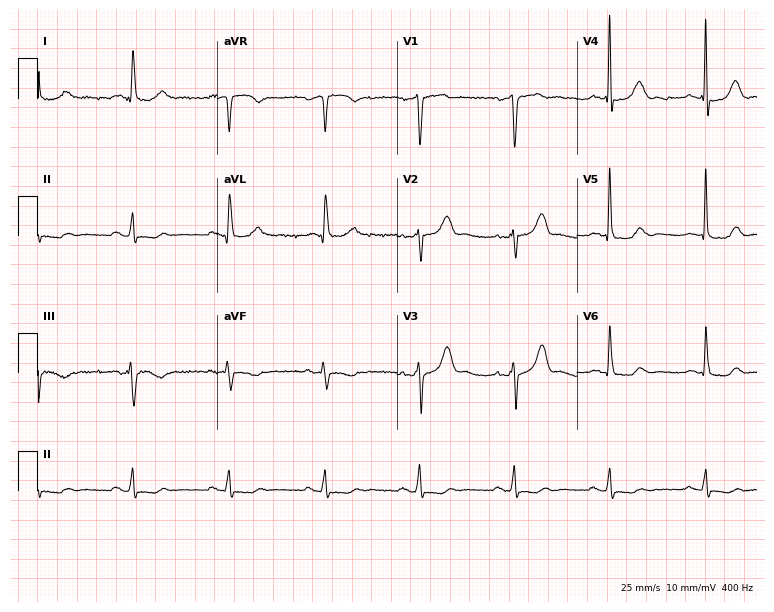
12-lead ECG from a 73-year-old male patient. No first-degree AV block, right bundle branch block (RBBB), left bundle branch block (LBBB), sinus bradycardia, atrial fibrillation (AF) or sinus tachycardia recorded for this tracing. Other findings, if any, are not listed.